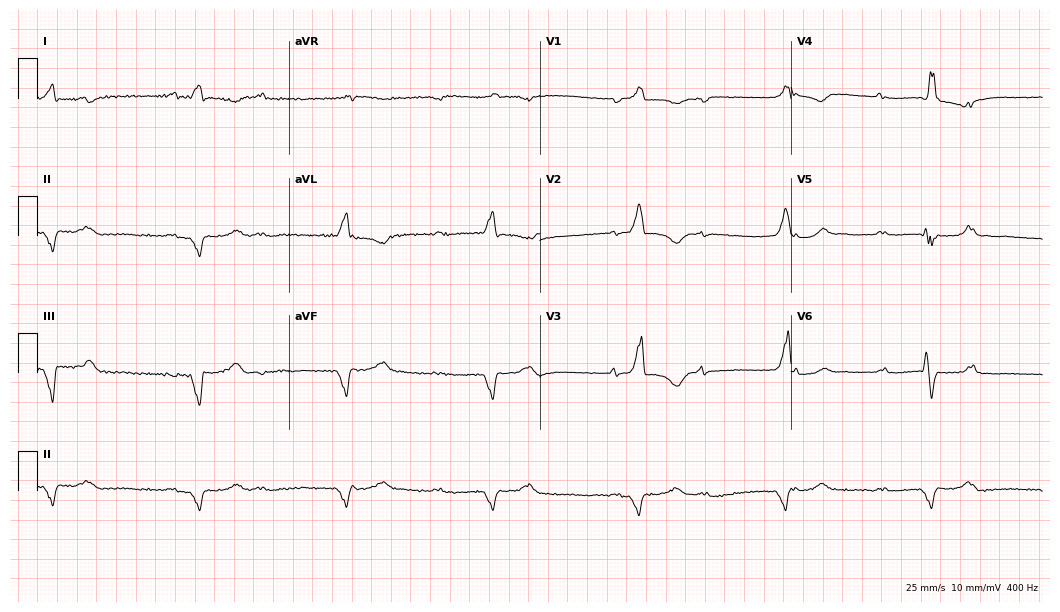
12-lead ECG from a 72-year-old male (10.2-second recording at 400 Hz). No first-degree AV block, right bundle branch block (RBBB), left bundle branch block (LBBB), sinus bradycardia, atrial fibrillation (AF) or sinus tachycardia recorded for this tracing.